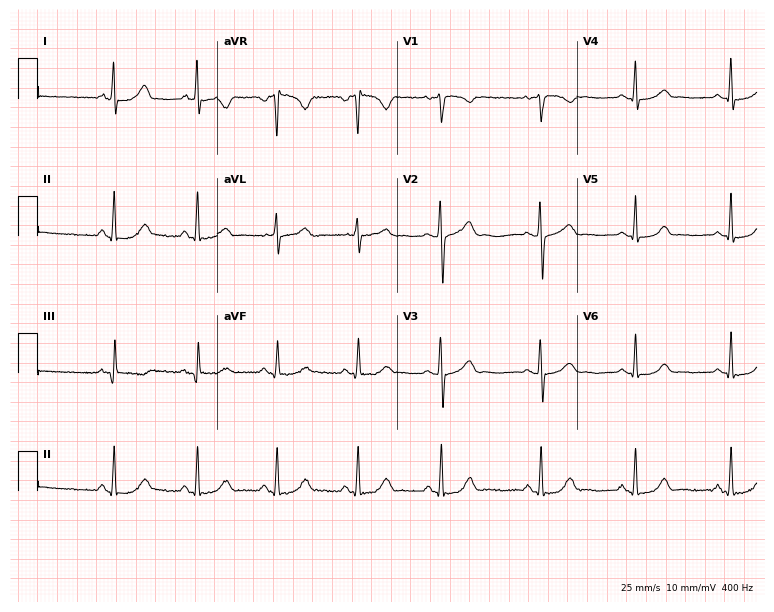
12-lead ECG from a woman, 39 years old. Labelled as a normal ECG.